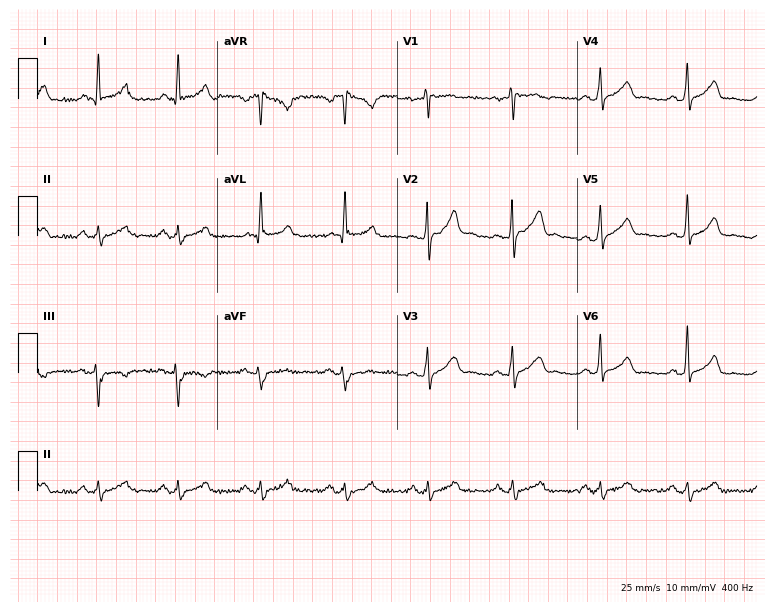
Electrocardiogram, a 63-year-old male patient. Of the six screened findings (first-degree AV block, right bundle branch block, left bundle branch block, sinus bradycardia, atrial fibrillation, sinus tachycardia), none is recorded. Other findings, if any, are not listed.